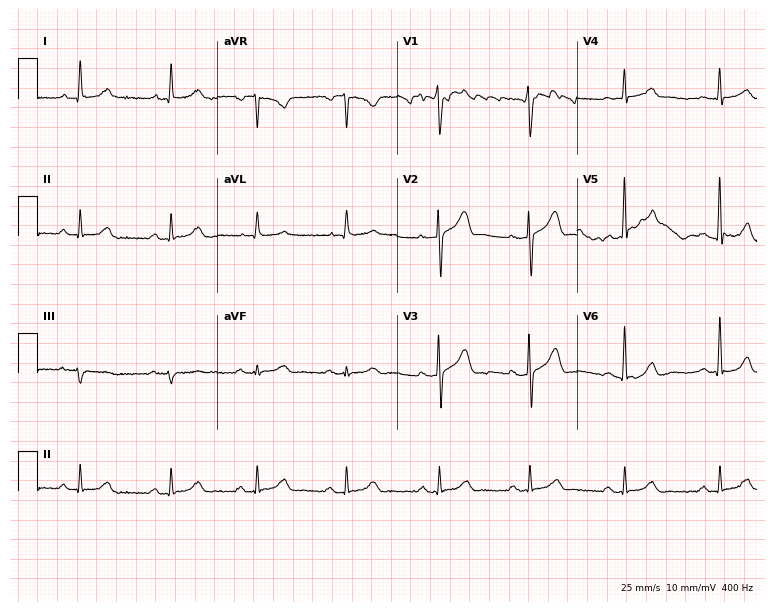
ECG — a male, 50 years old. Screened for six findings — first-degree AV block, right bundle branch block (RBBB), left bundle branch block (LBBB), sinus bradycardia, atrial fibrillation (AF), sinus tachycardia — none is recorded.